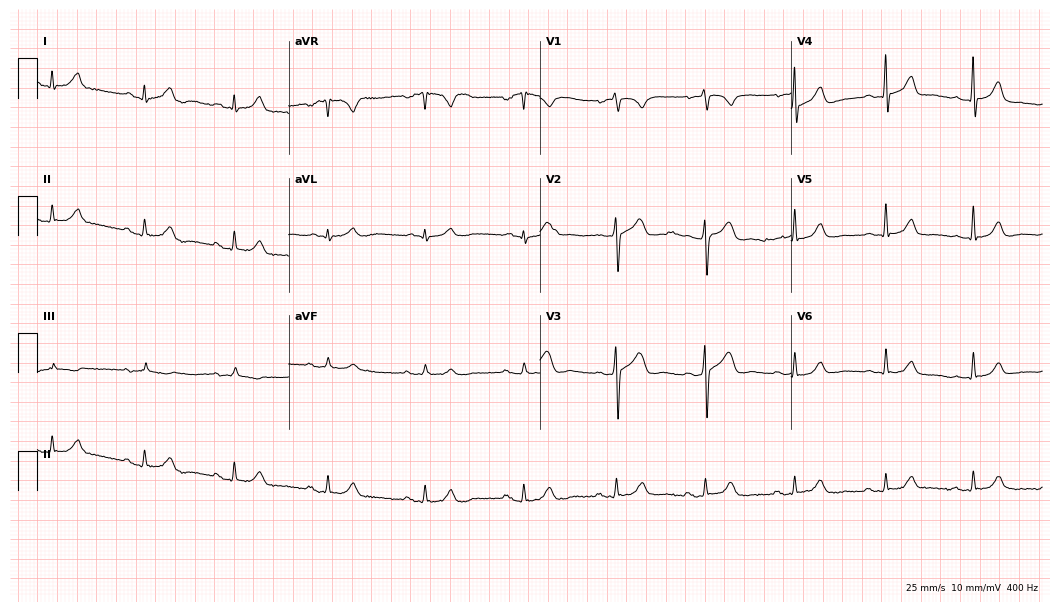
Standard 12-lead ECG recorded from a man, 36 years old. Read as a normal ECG.